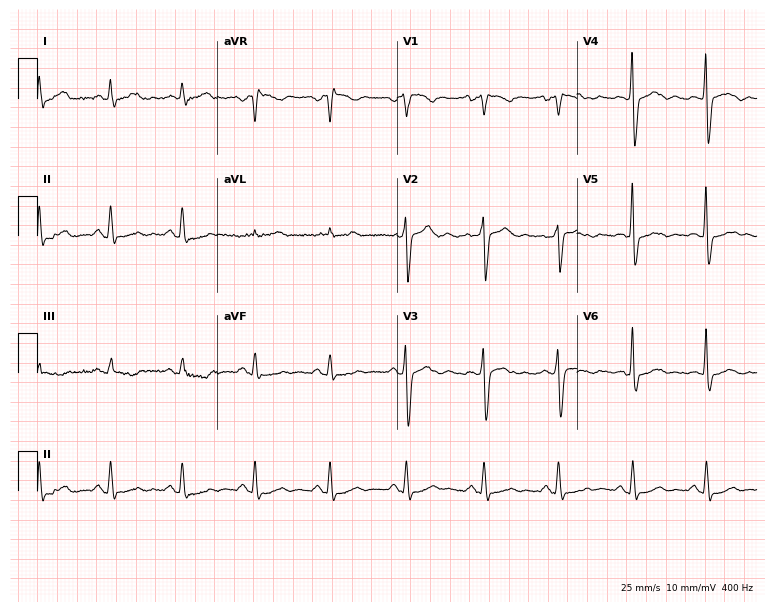
12-lead ECG from a man, 54 years old (7.3-second recording at 400 Hz). No first-degree AV block, right bundle branch block, left bundle branch block, sinus bradycardia, atrial fibrillation or sinus tachycardia recorded for this tracing. Only these six findings were labelled.